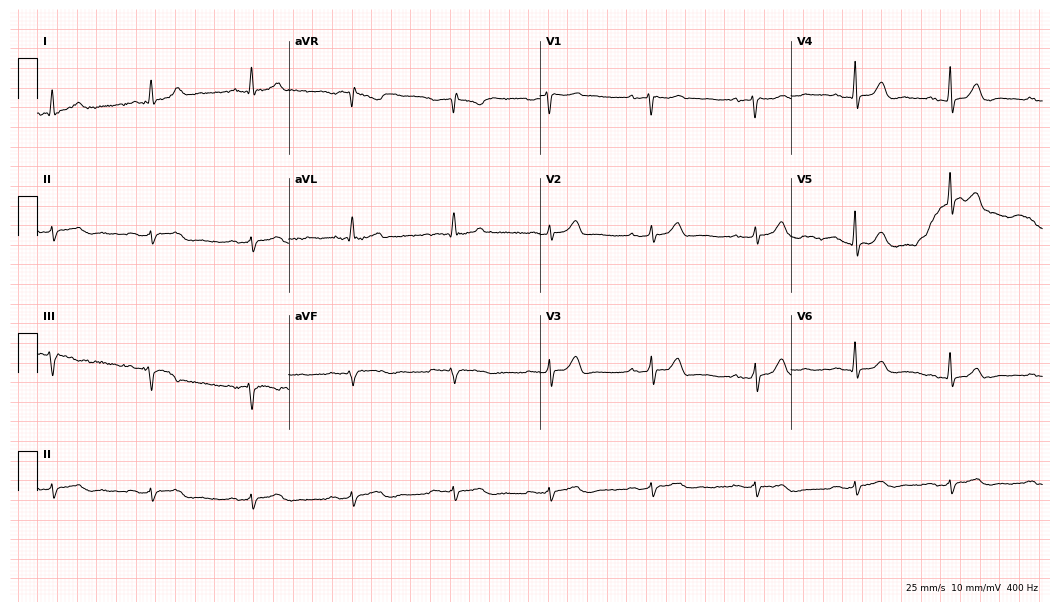
12-lead ECG from a male, 87 years old. Shows first-degree AV block.